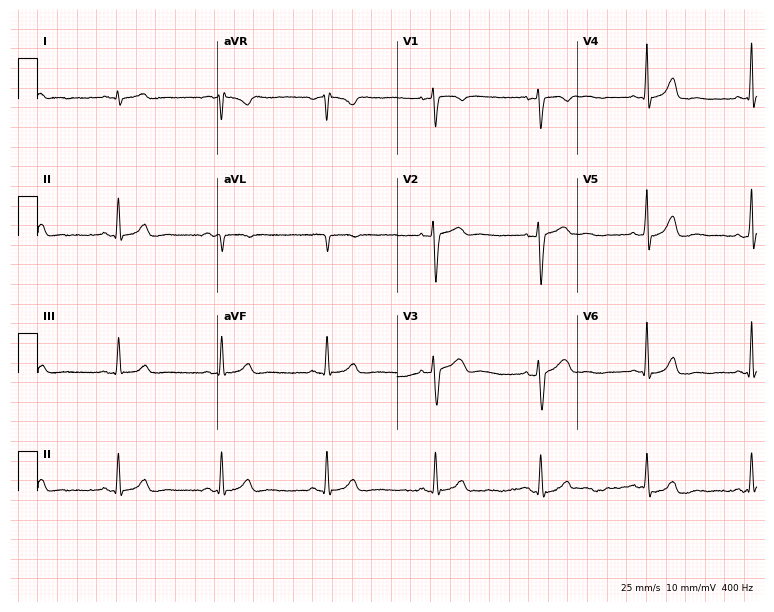
Resting 12-lead electrocardiogram (7.3-second recording at 400 Hz). Patient: a female, 34 years old. None of these six findings is recorded: first-degree AV block, right bundle branch block, left bundle branch block, sinus bradycardia, atrial fibrillation, sinus tachycardia.